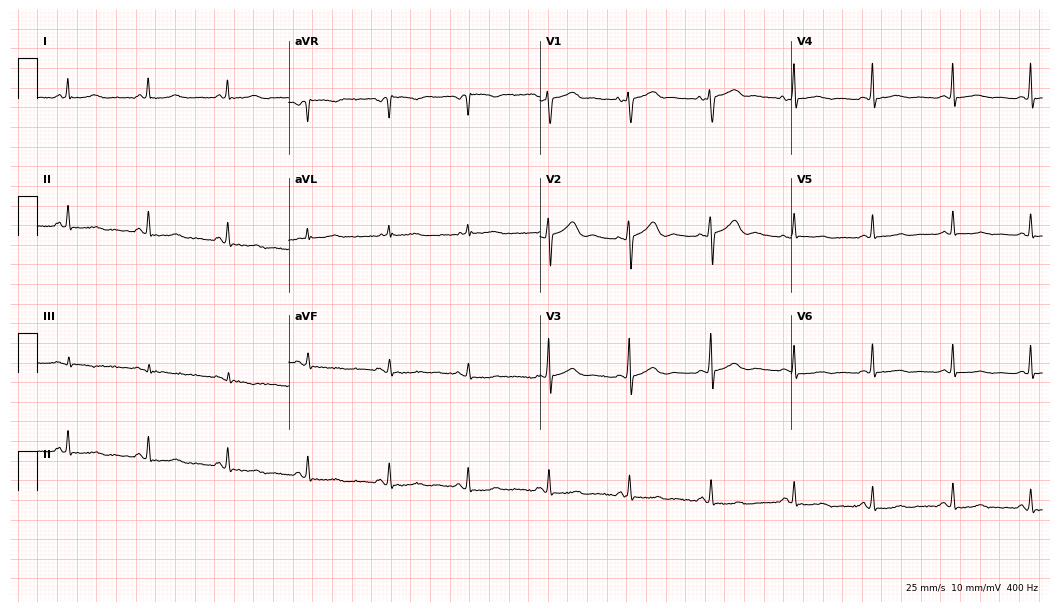
12-lead ECG from a woman, 37 years old. No first-degree AV block, right bundle branch block (RBBB), left bundle branch block (LBBB), sinus bradycardia, atrial fibrillation (AF) or sinus tachycardia recorded for this tracing.